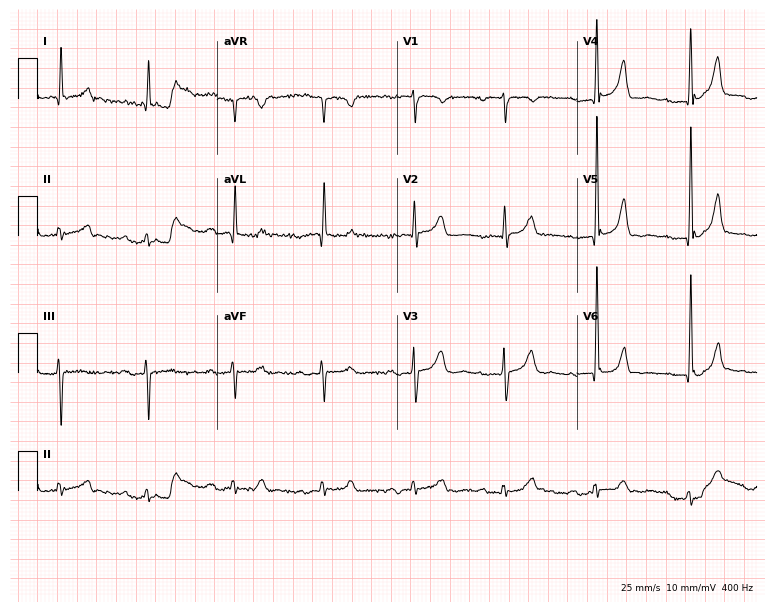
ECG (7.3-second recording at 400 Hz) — a man, 79 years old. Findings include first-degree AV block.